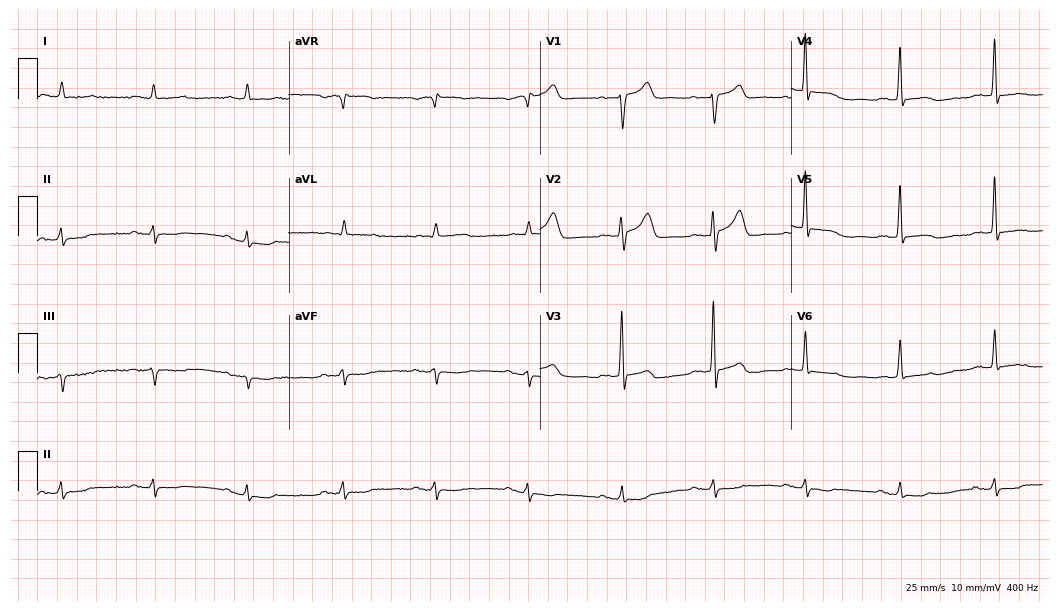
ECG — a male patient, 86 years old. Labelled as a normal ECG.